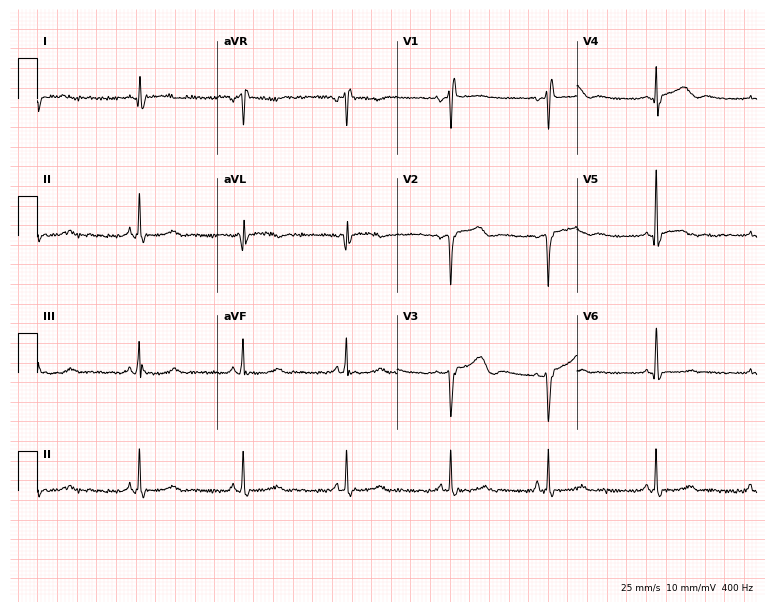
12-lead ECG from a female patient, 49 years old. Screened for six findings — first-degree AV block, right bundle branch block, left bundle branch block, sinus bradycardia, atrial fibrillation, sinus tachycardia — none is recorded.